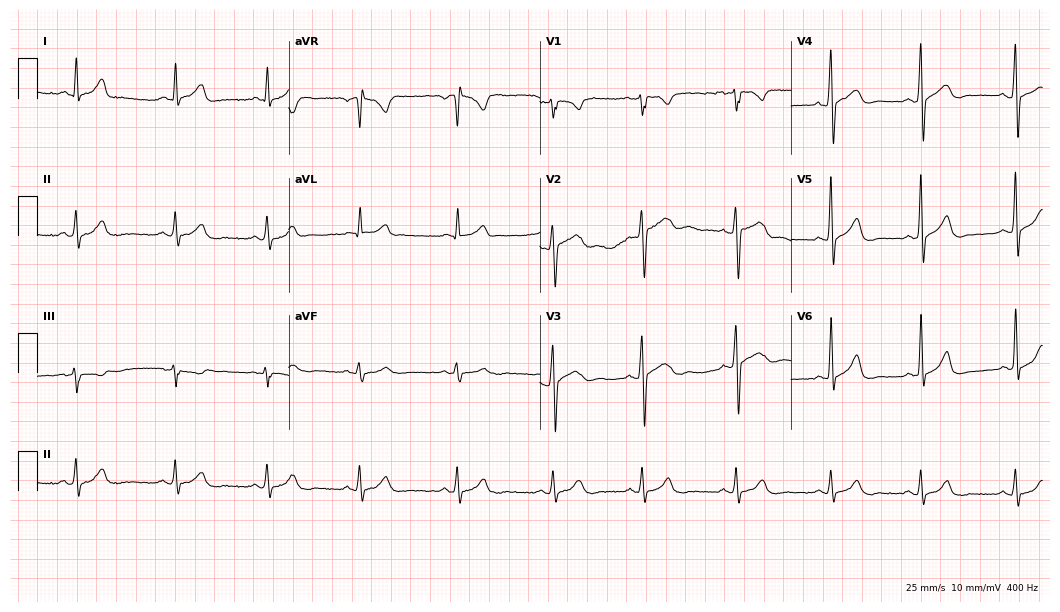
Standard 12-lead ECG recorded from a male patient, 27 years old. Read as a normal ECG.